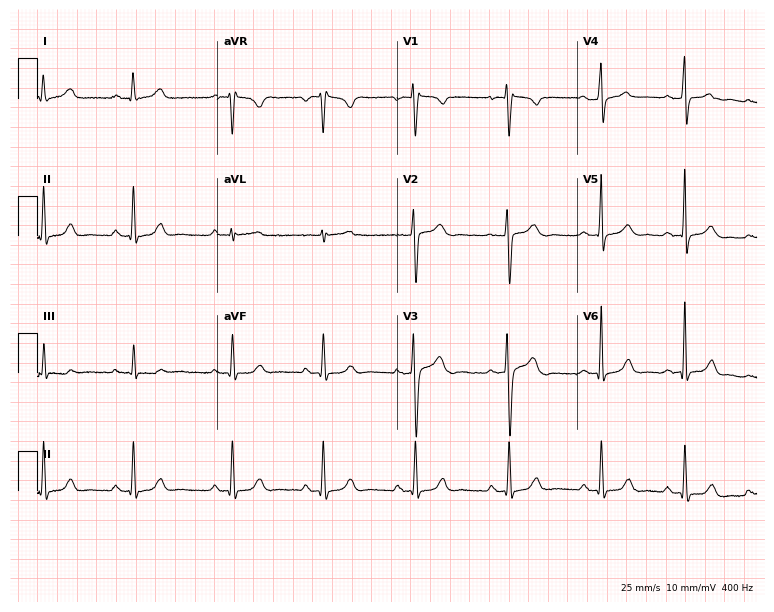
12-lead ECG from a 29-year-old female patient. No first-degree AV block, right bundle branch block, left bundle branch block, sinus bradycardia, atrial fibrillation or sinus tachycardia recorded for this tracing. Only these six findings were labelled.